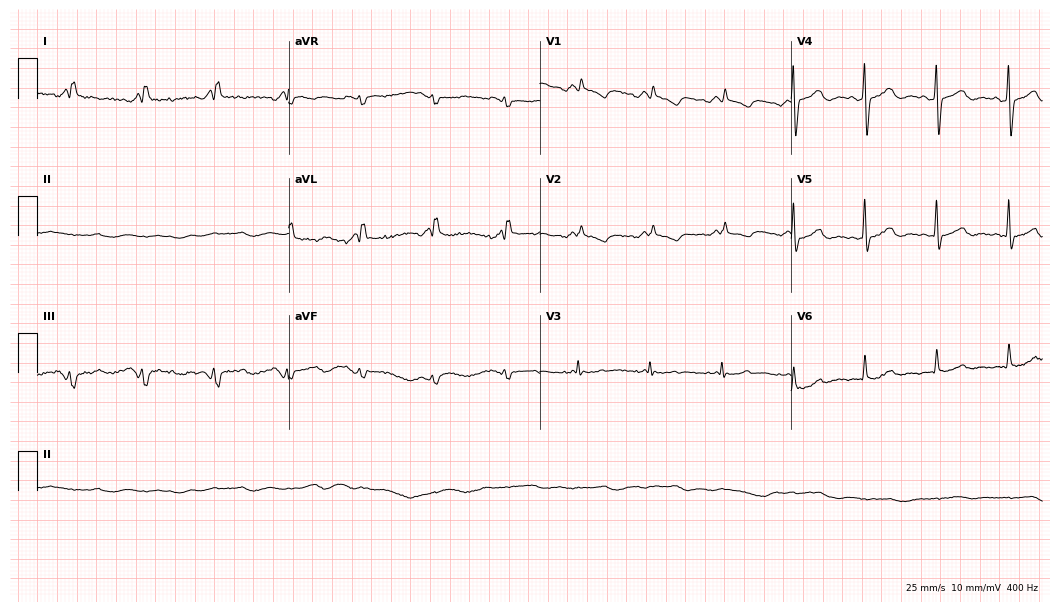
Resting 12-lead electrocardiogram. Patient: a man, 70 years old. None of these six findings is recorded: first-degree AV block, right bundle branch block, left bundle branch block, sinus bradycardia, atrial fibrillation, sinus tachycardia.